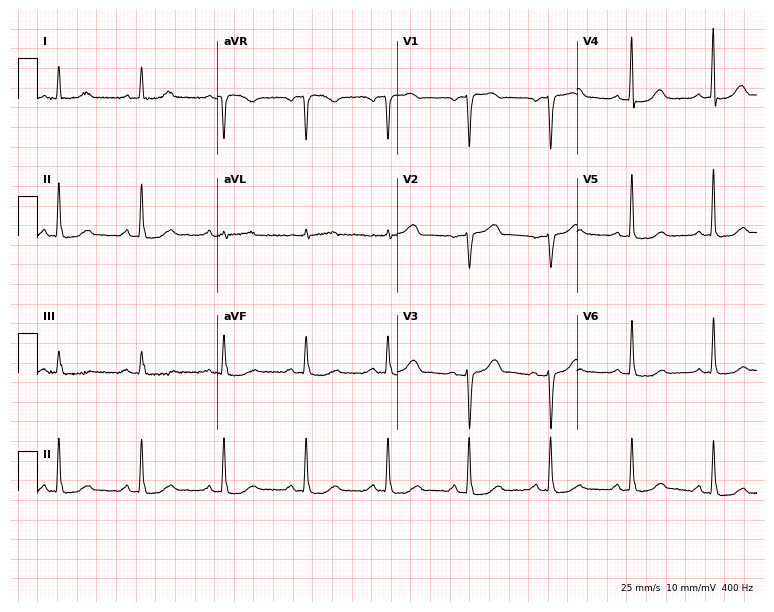
12-lead ECG (7.3-second recording at 400 Hz) from a female patient, 60 years old. Labelled as a normal ECG.